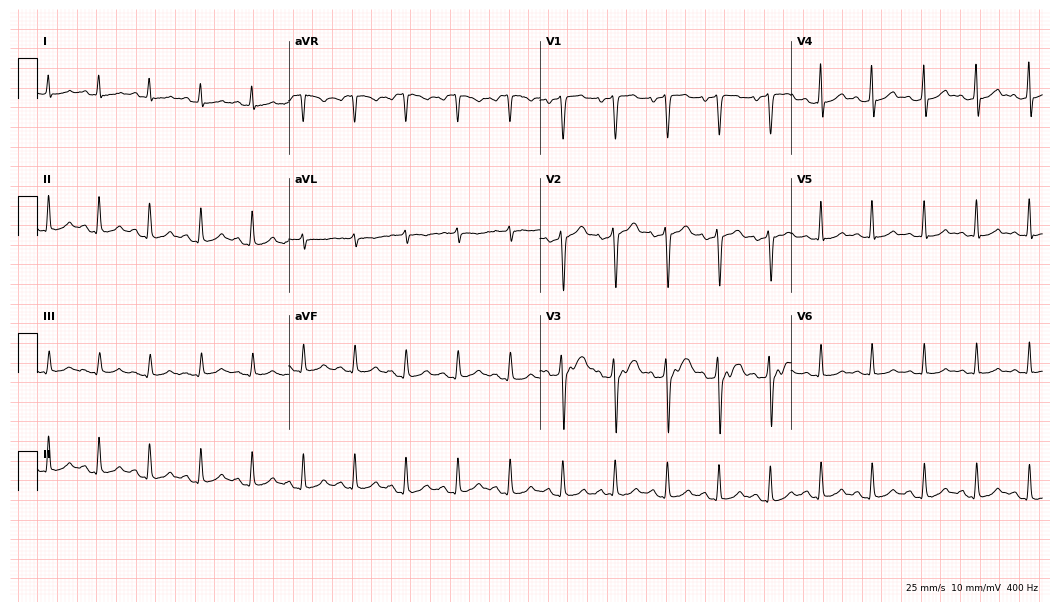
Resting 12-lead electrocardiogram. Patient: a male, 44 years old. The tracing shows sinus tachycardia (a sinus rate of 100 beats per minute or more).